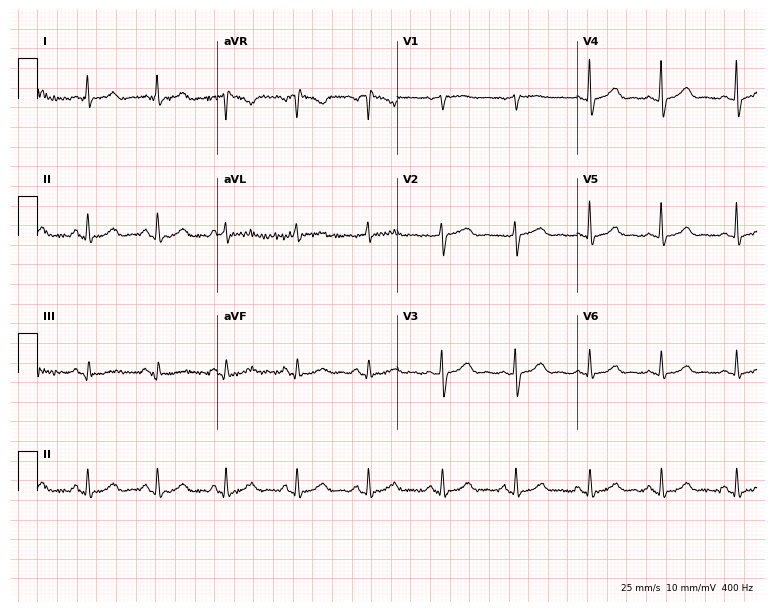
Electrocardiogram (7.3-second recording at 400 Hz), a 65-year-old female patient. Overall reading on record: normal ECG.